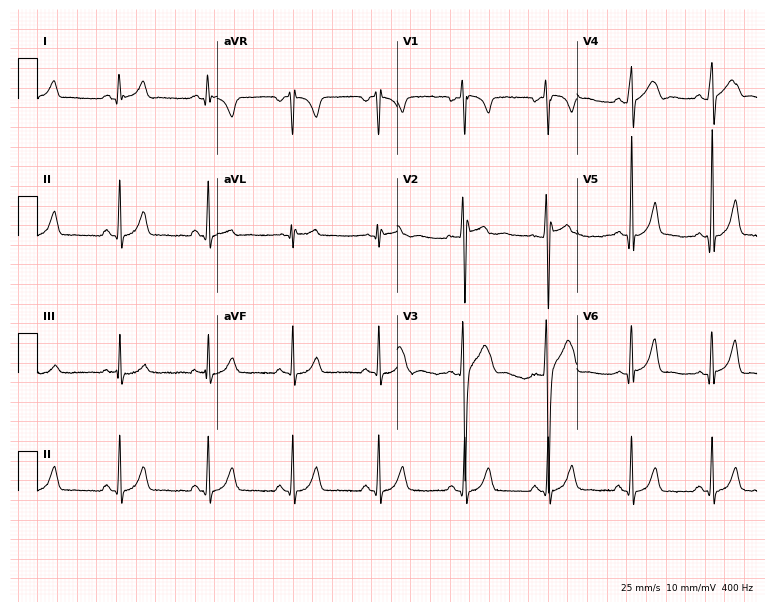
Electrocardiogram (7.3-second recording at 400 Hz), a 24-year-old male patient. Of the six screened findings (first-degree AV block, right bundle branch block, left bundle branch block, sinus bradycardia, atrial fibrillation, sinus tachycardia), none is recorded. Findings outside these six are not listed.